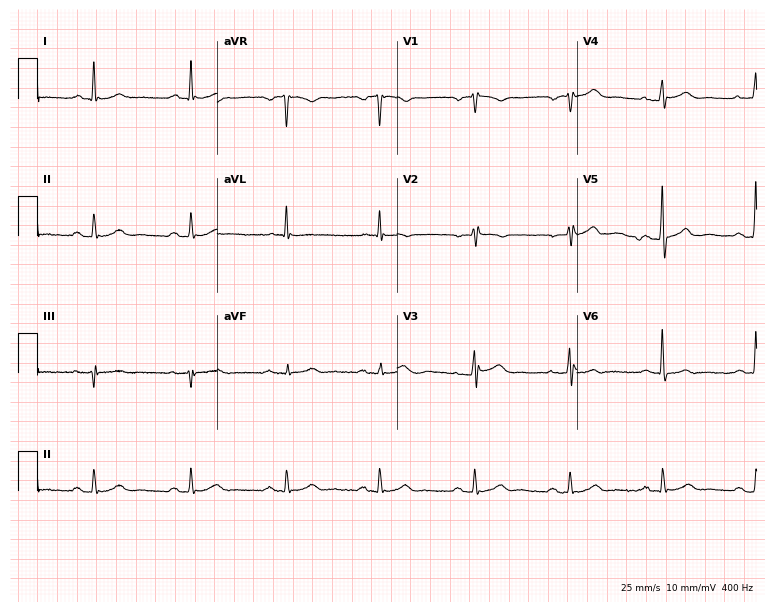
Electrocardiogram (7.3-second recording at 400 Hz), a male, 63 years old. Overall reading on record: normal ECG.